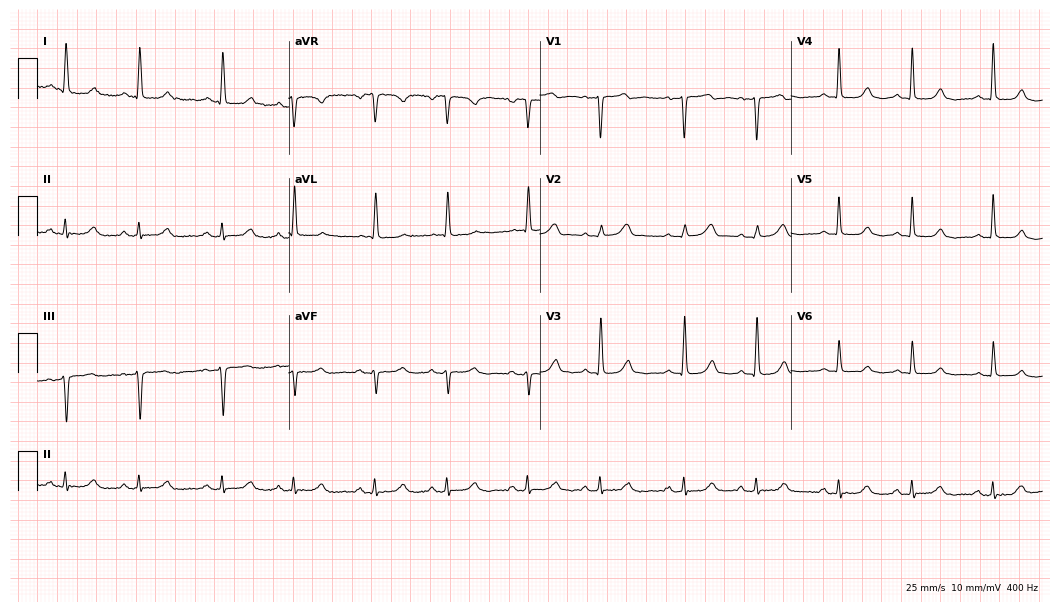
12-lead ECG (10.2-second recording at 400 Hz) from an 81-year-old female. Labelled as a normal ECG.